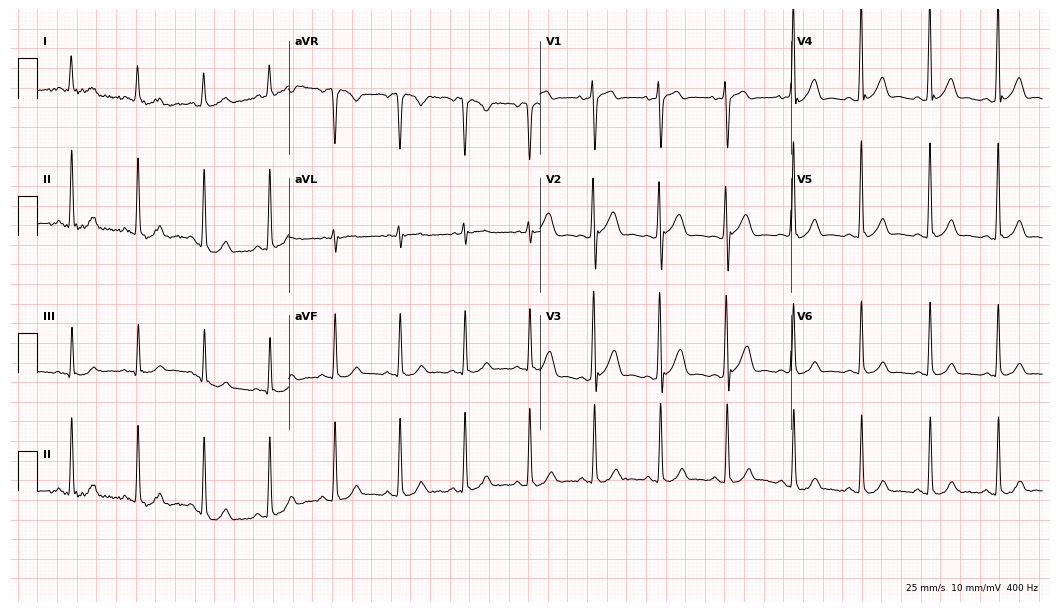
Standard 12-lead ECG recorded from a male, 36 years old. Read as a normal ECG.